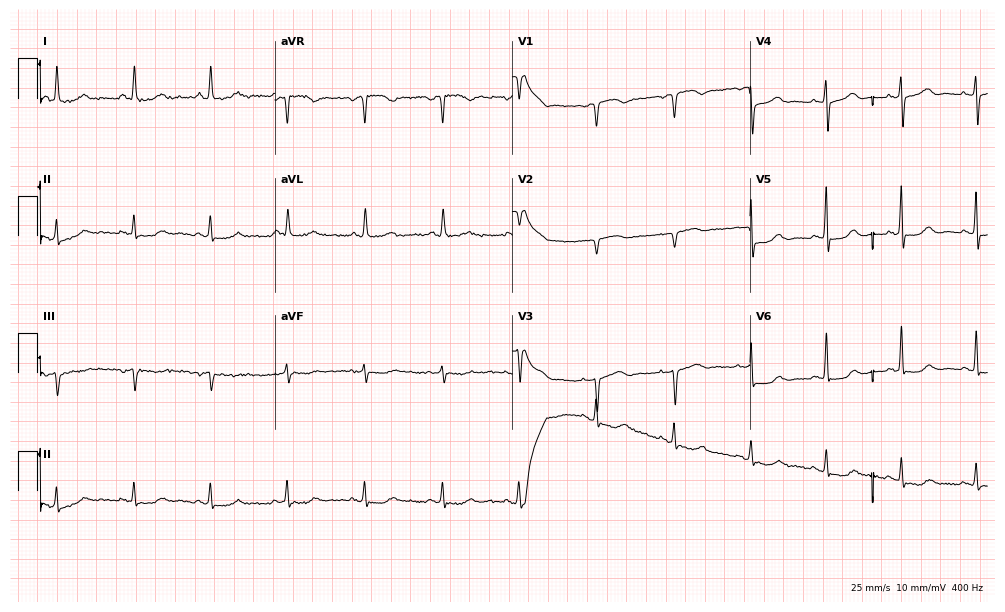
Electrocardiogram, a female, 65 years old. Of the six screened findings (first-degree AV block, right bundle branch block, left bundle branch block, sinus bradycardia, atrial fibrillation, sinus tachycardia), none is recorded. Only these six findings were labelled.